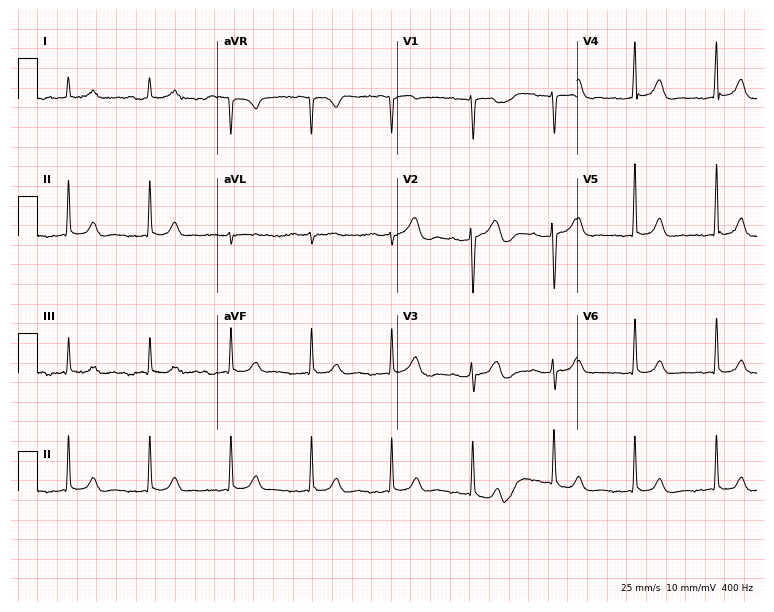
12-lead ECG from a female patient, 46 years old. Recorded interpretation: within normal limits.